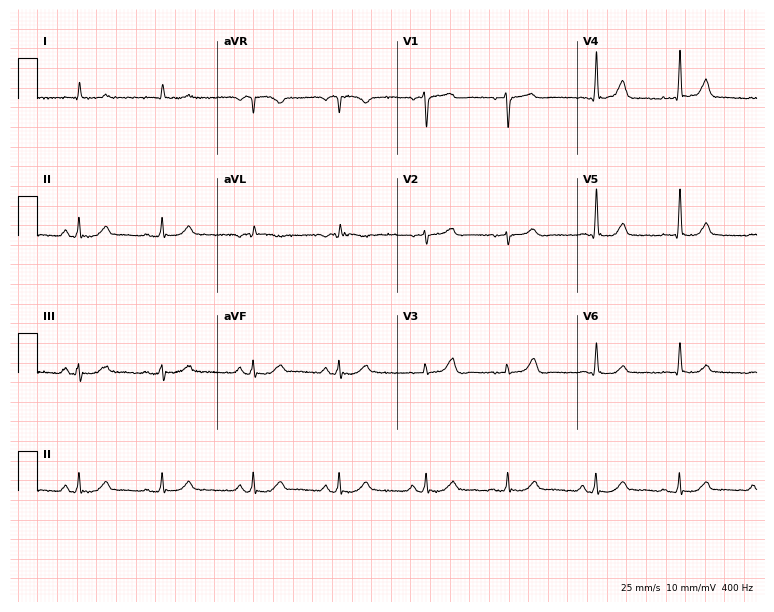
Resting 12-lead electrocardiogram. Patient: an 82-year-old male. Read as a normal ECG.